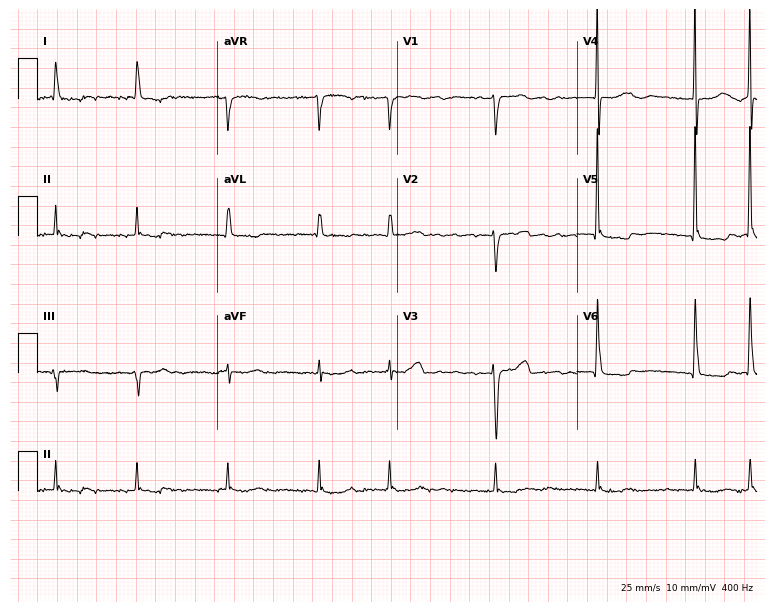
12-lead ECG from a 73-year-old female. Screened for six findings — first-degree AV block, right bundle branch block, left bundle branch block, sinus bradycardia, atrial fibrillation, sinus tachycardia — none is recorded.